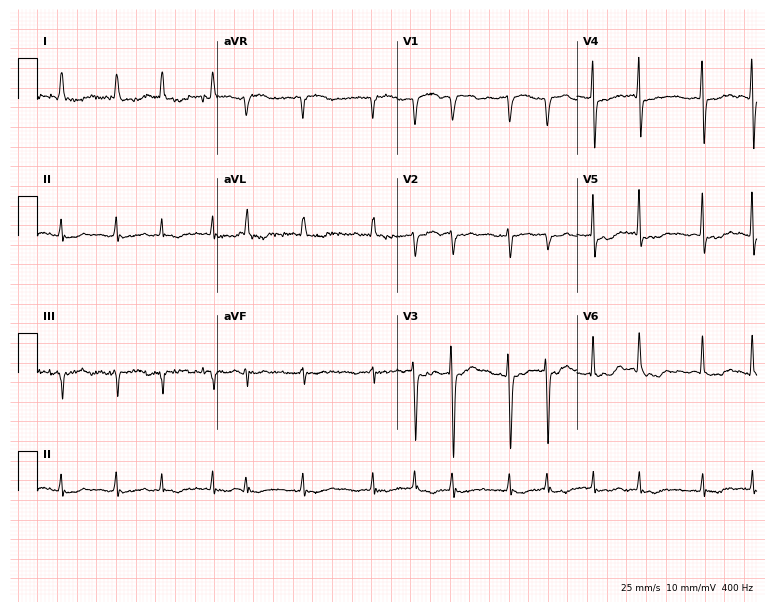
Resting 12-lead electrocardiogram (7.3-second recording at 400 Hz). Patient: a 73-year-old female. The tracing shows atrial fibrillation.